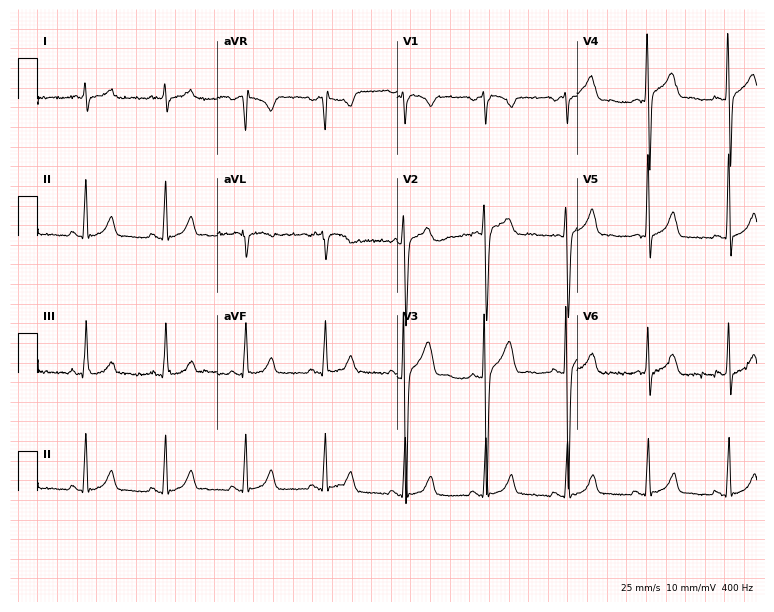
Resting 12-lead electrocardiogram. Patient: a 43-year-old male. Read as a normal ECG.